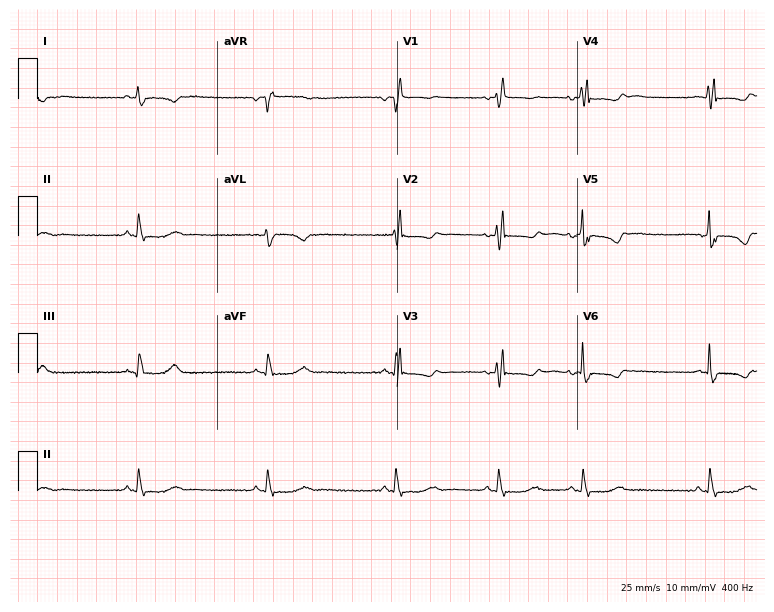
Resting 12-lead electrocardiogram (7.3-second recording at 400 Hz). Patient: a 58-year-old female. None of these six findings is recorded: first-degree AV block, right bundle branch block (RBBB), left bundle branch block (LBBB), sinus bradycardia, atrial fibrillation (AF), sinus tachycardia. Only these six findings were labelled.